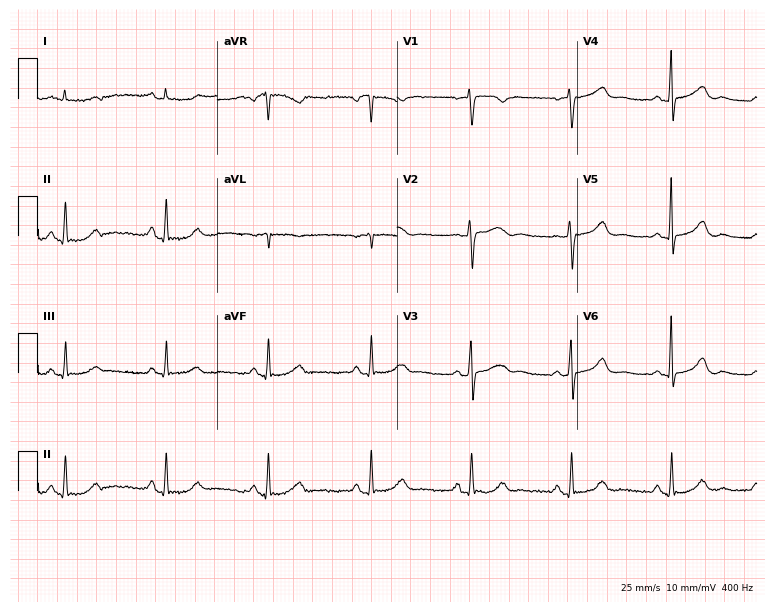
ECG (7.3-second recording at 400 Hz) — a female patient, 54 years old. Screened for six findings — first-degree AV block, right bundle branch block (RBBB), left bundle branch block (LBBB), sinus bradycardia, atrial fibrillation (AF), sinus tachycardia — none is recorded.